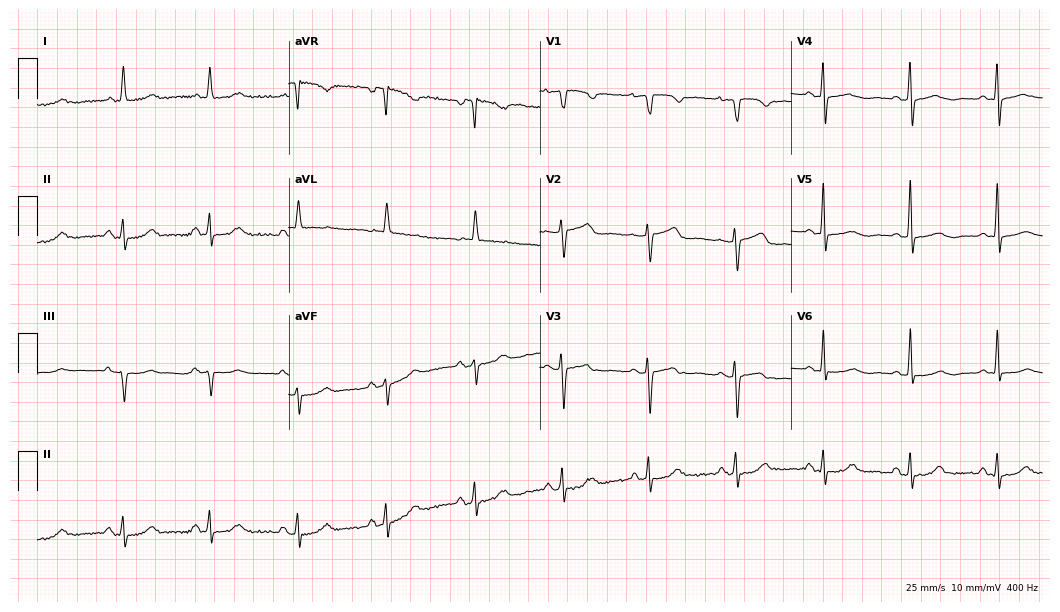
12-lead ECG from a 78-year-old male patient. No first-degree AV block, right bundle branch block, left bundle branch block, sinus bradycardia, atrial fibrillation or sinus tachycardia recorded for this tracing.